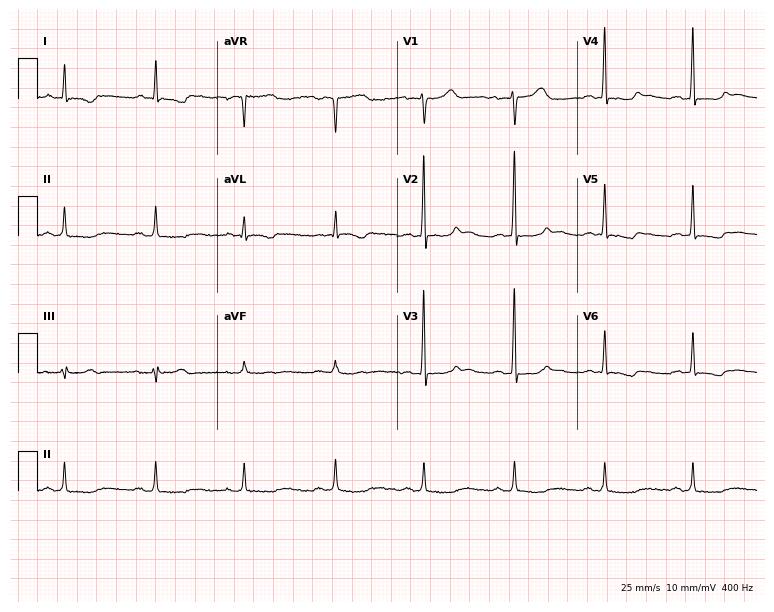
Standard 12-lead ECG recorded from a male patient, 66 years old (7.3-second recording at 400 Hz). None of these six findings is recorded: first-degree AV block, right bundle branch block (RBBB), left bundle branch block (LBBB), sinus bradycardia, atrial fibrillation (AF), sinus tachycardia.